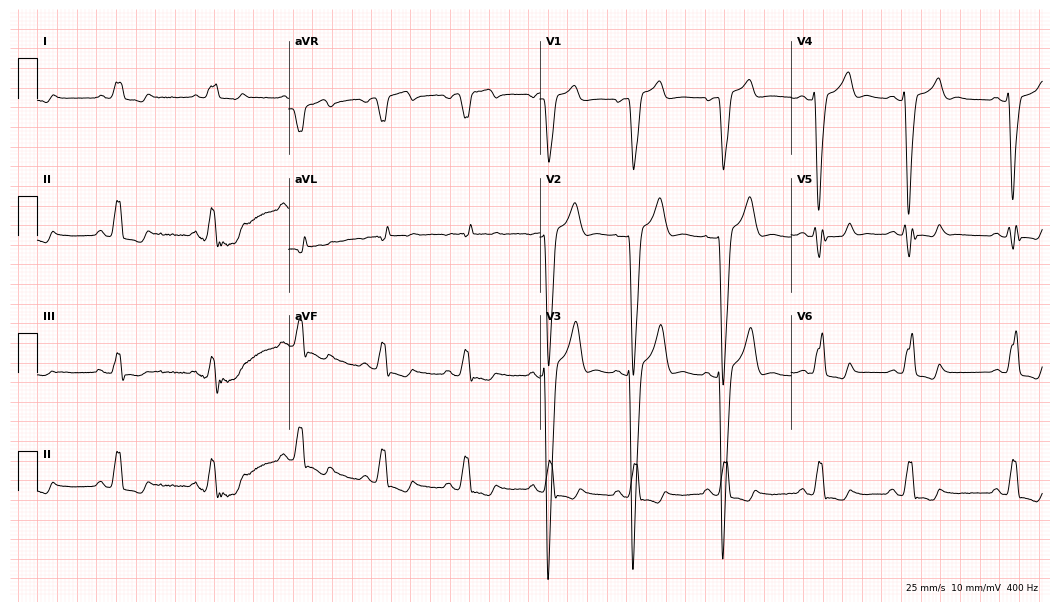
12-lead ECG from a male patient, 47 years old. Shows left bundle branch block.